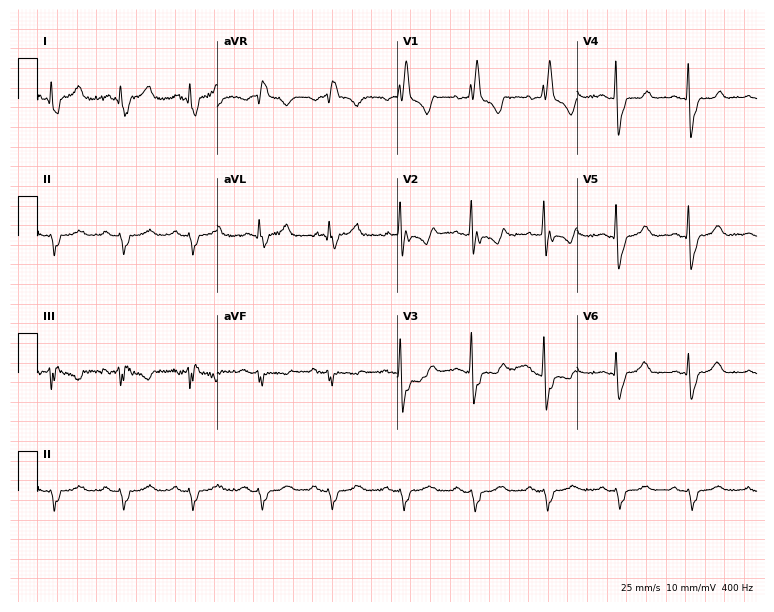
Electrocardiogram, an 80-year-old woman. Interpretation includes right bundle branch block (RBBB).